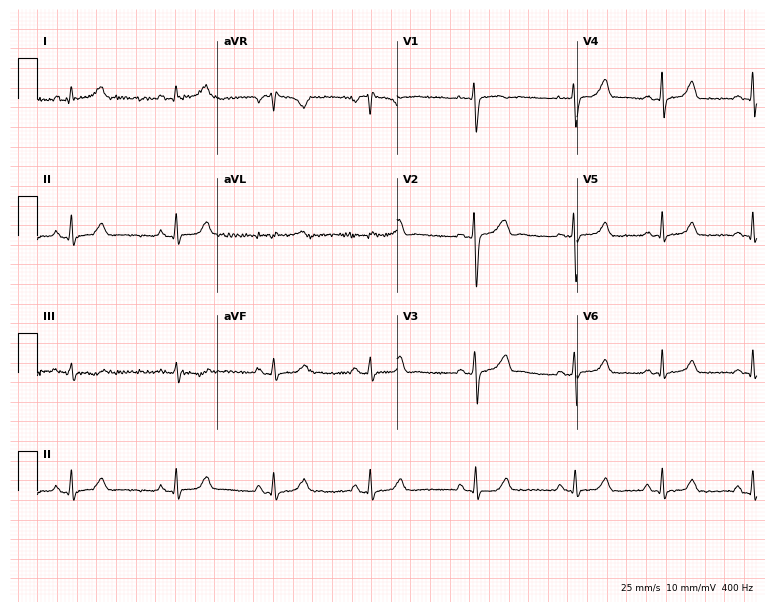
Resting 12-lead electrocardiogram. Patient: a female, 40 years old. Read as a normal ECG.